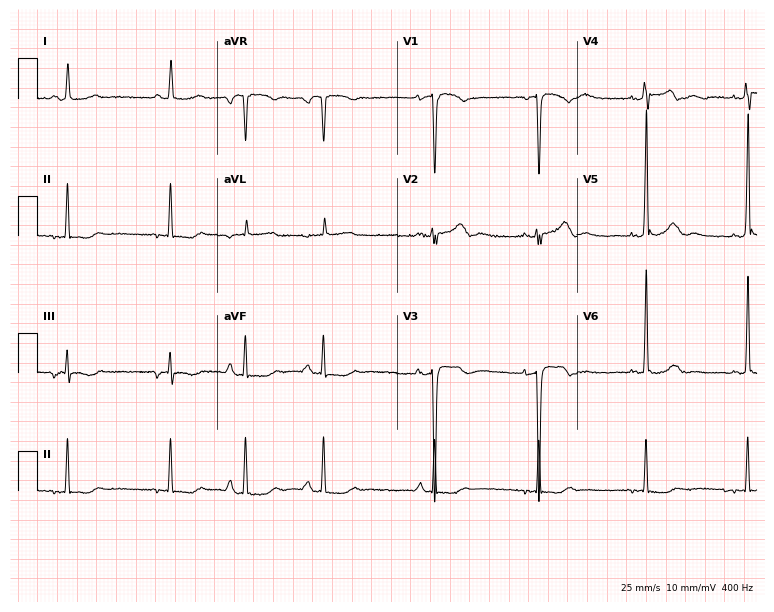
Electrocardiogram, a 63-year-old female patient. Of the six screened findings (first-degree AV block, right bundle branch block (RBBB), left bundle branch block (LBBB), sinus bradycardia, atrial fibrillation (AF), sinus tachycardia), none is recorded. Other findings, if any, are not listed.